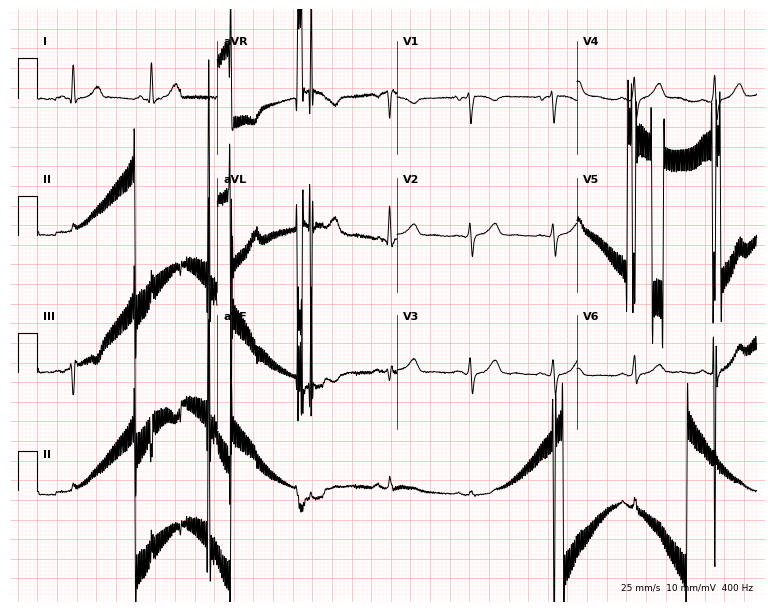
12-lead ECG from a 57-year-old woman. Screened for six findings — first-degree AV block, right bundle branch block, left bundle branch block, sinus bradycardia, atrial fibrillation, sinus tachycardia — none is recorded. Findings outside these six are not listed.